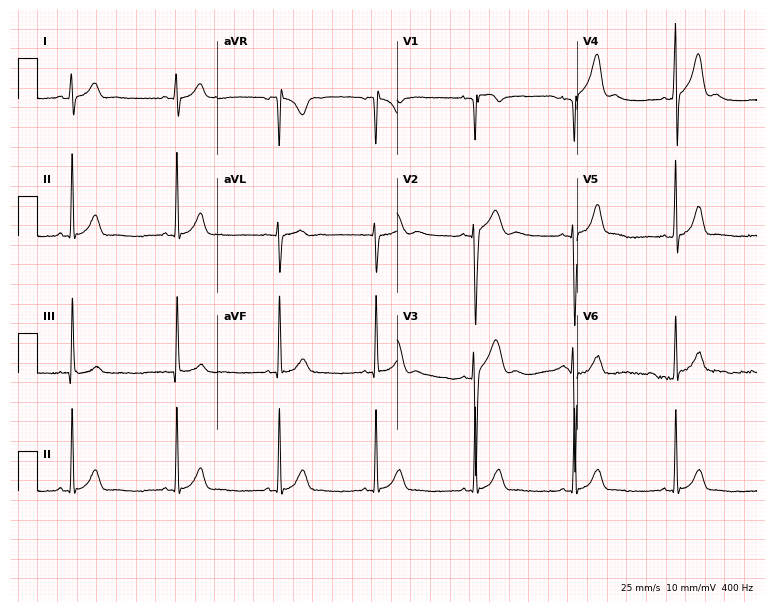
ECG — a 17-year-old man. Screened for six findings — first-degree AV block, right bundle branch block (RBBB), left bundle branch block (LBBB), sinus bradycardia, atrial fibrillation (AF), sinus tachycardia — none is recorded.